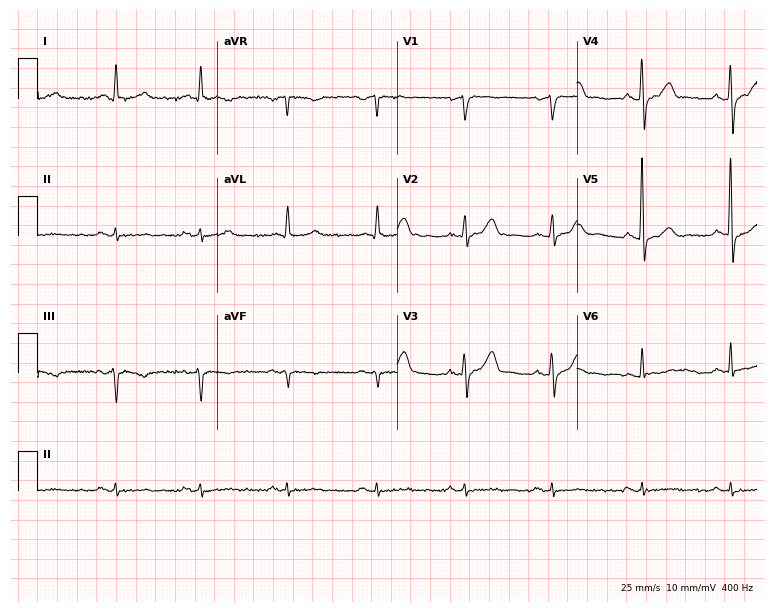
Electrocardiogram (7.3-second recording at 400 Hz), a 69-year-old male. Of the six screened findings (first-degree AV block, right bundle branch block, left bundle branch block, sinus bradycardia, atrial fibrillation, sinus tachycardia), none is recorded.